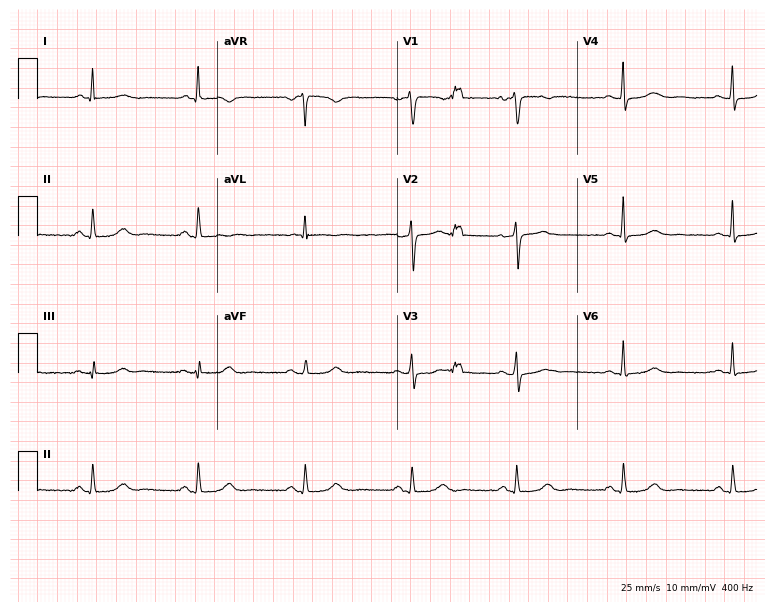
Standard 12-lead ECG recorded from a 46-year-old female patient. Read as a normal ECG.